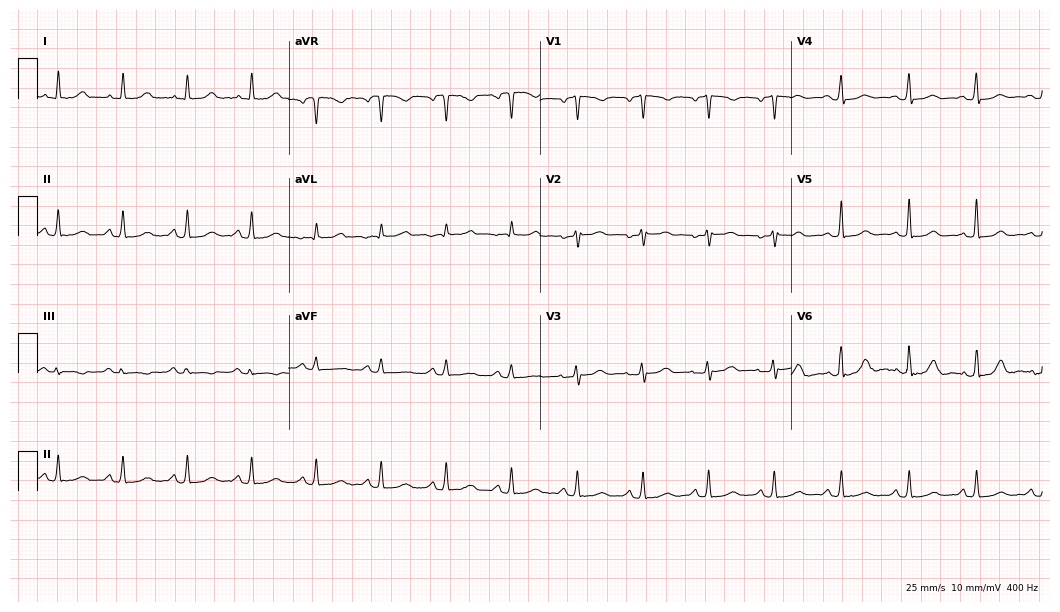
12-lead ECG (10.2-second recording at 400 Hz) from a 54-year-old female patient. Labelled as a normal ECG.